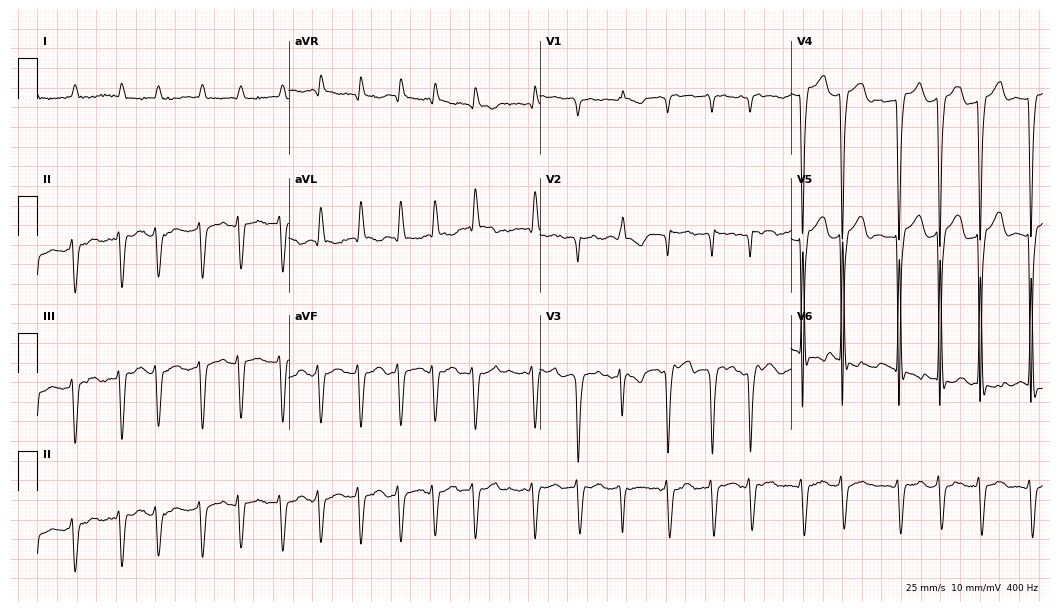
12-lead ECG from an 85-year-old male patient (10.2-second recording at 400 Hz). Shows atrial fibrillation (AF).